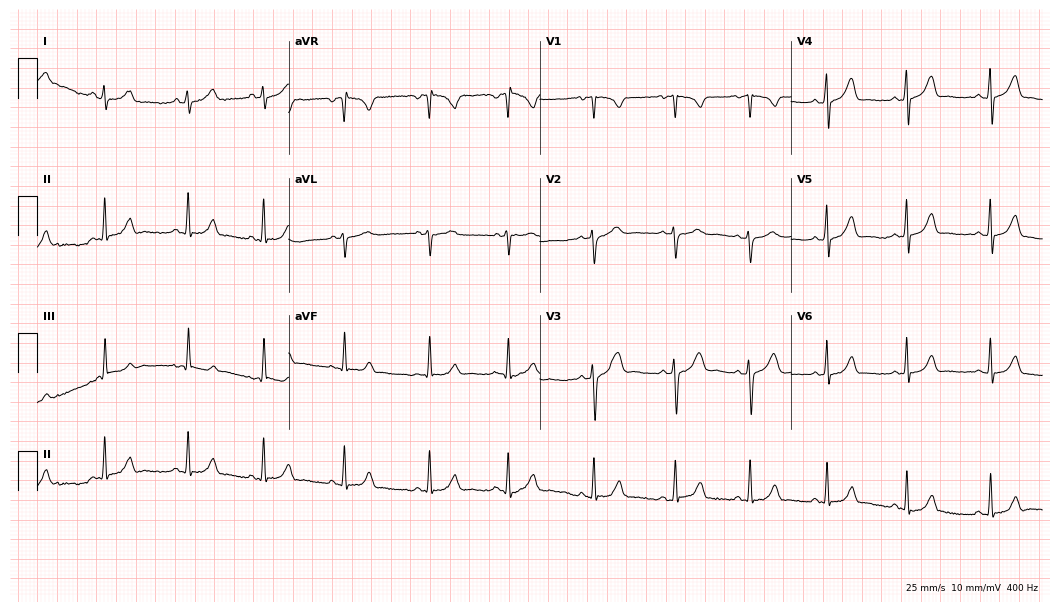
12-lead ECG from a female patient, 23 years old. No first-degree AV block, right bundle branch block (RBBB), left bundle branch block (LBBB), sinus bradycardia, atrial fibrillation (AF) or sinus tachycardia recorded for this tracing. Only these six findings were labelled.